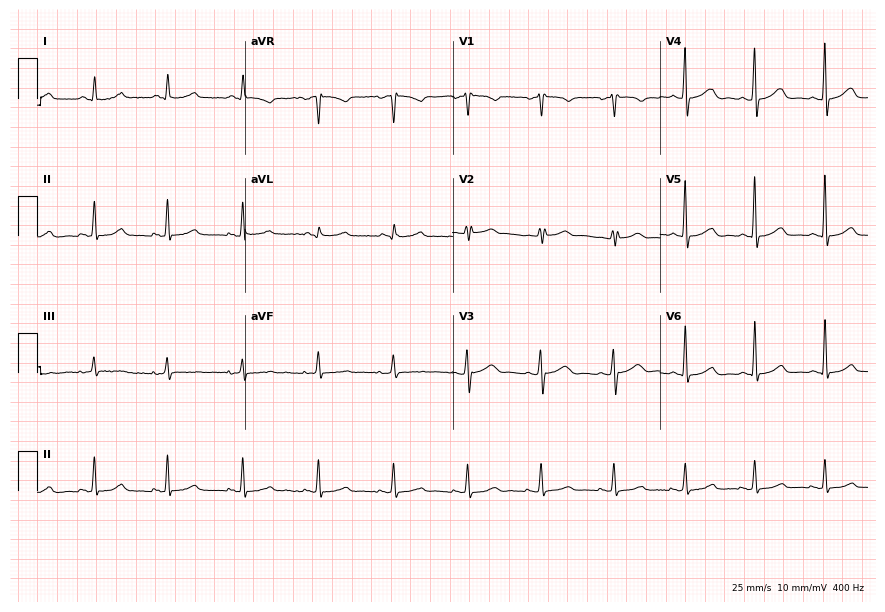
ECG (8.5-second recording at 400 Hz) — a female patient, 69 years old. Labelled as a normal ECG.